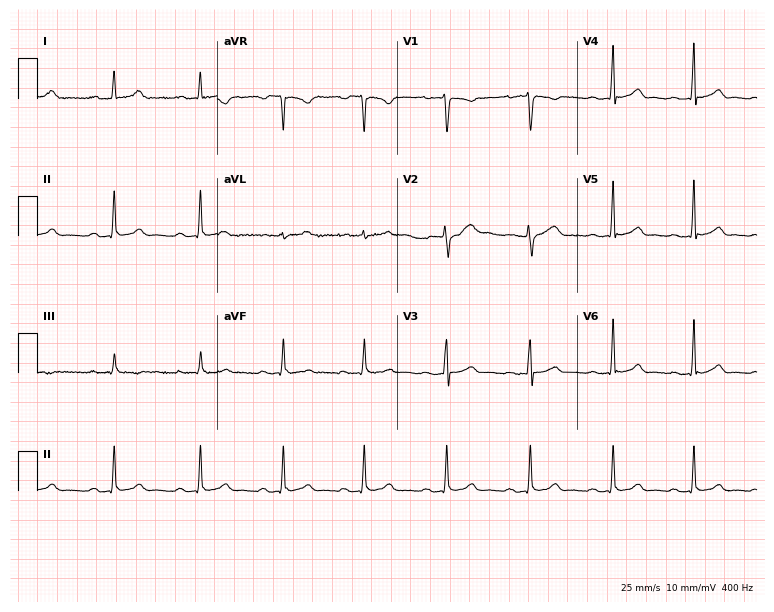
ECG (7.3-second recording at 400 Hz) — a woman, 21 years old. Labelled as a normal ECG.